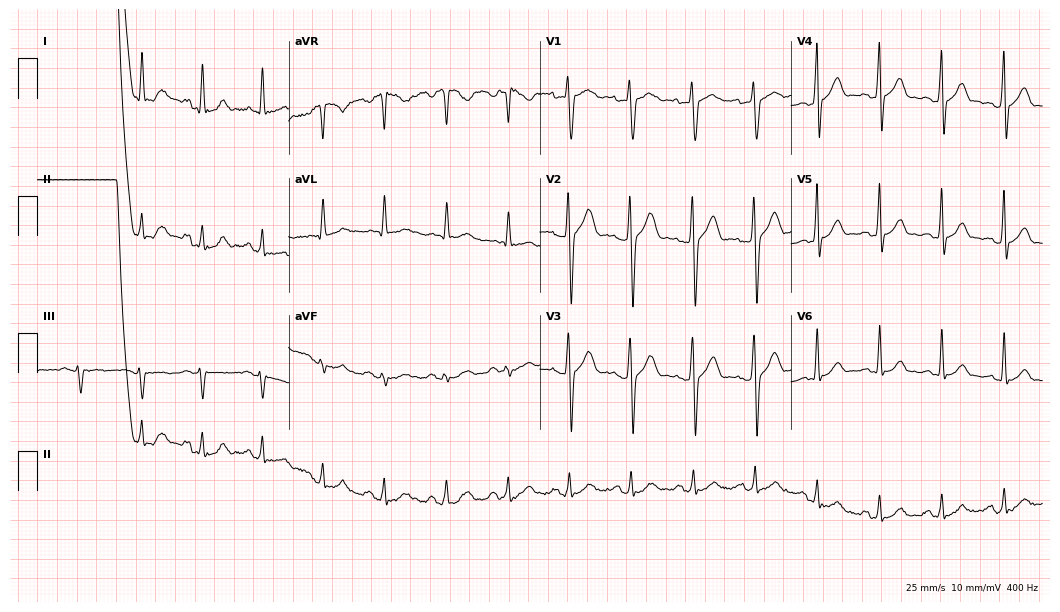
Resting 12-lead electrocardiogram (10.2-second recording at 400 Hz). Patient: a 24-year-old male. None of these six findings is recorded: first-degree AV block, right bundle branch block (RBBB), left bundle branch block (LBBB), sinus bradycardia, atrial fibrillation (AF), sinus tachycardia. Only these six findings were labelled.